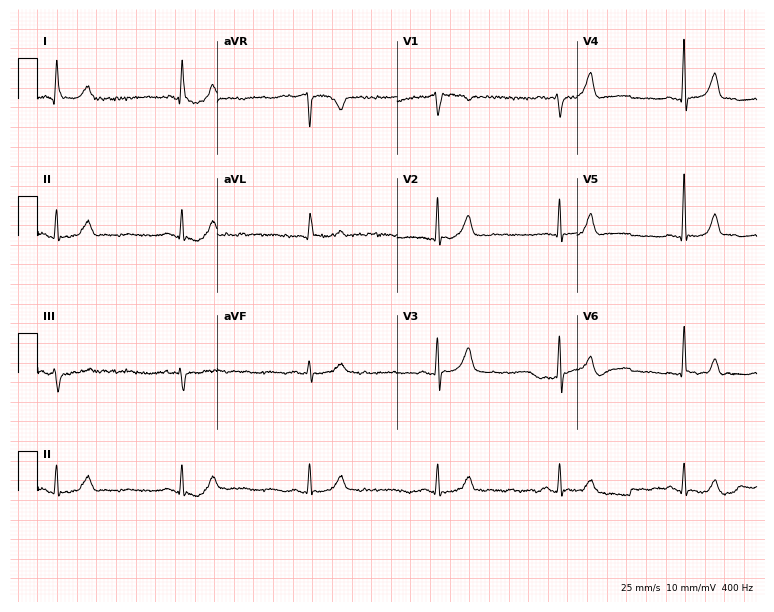
Standard 12-lead ECG recorded from a 69-year-old female (7.3-second recording at 400 Hz). None of these six findings is recorded: first-degree AV block, right bundle branch block, left bundle branch block, sinus bradycardia, atrial fibrillation, sinus tachycardia. Other findings, if any, are not listed.